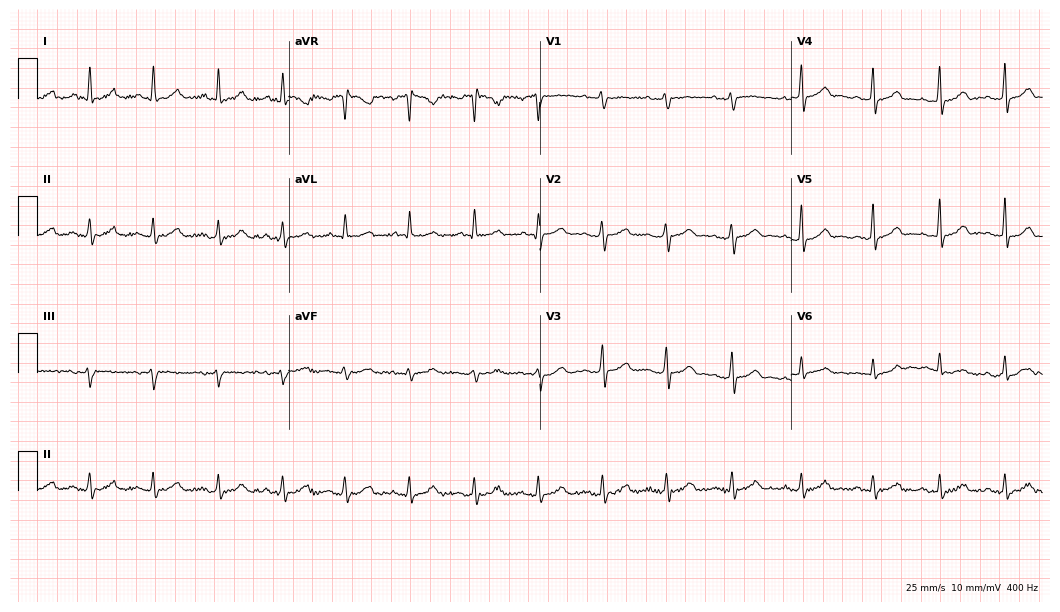
Electrocardiogram (10.2-second recording at 400 Hz), a 48-year-old female. Overall reading on record: normal ECG.